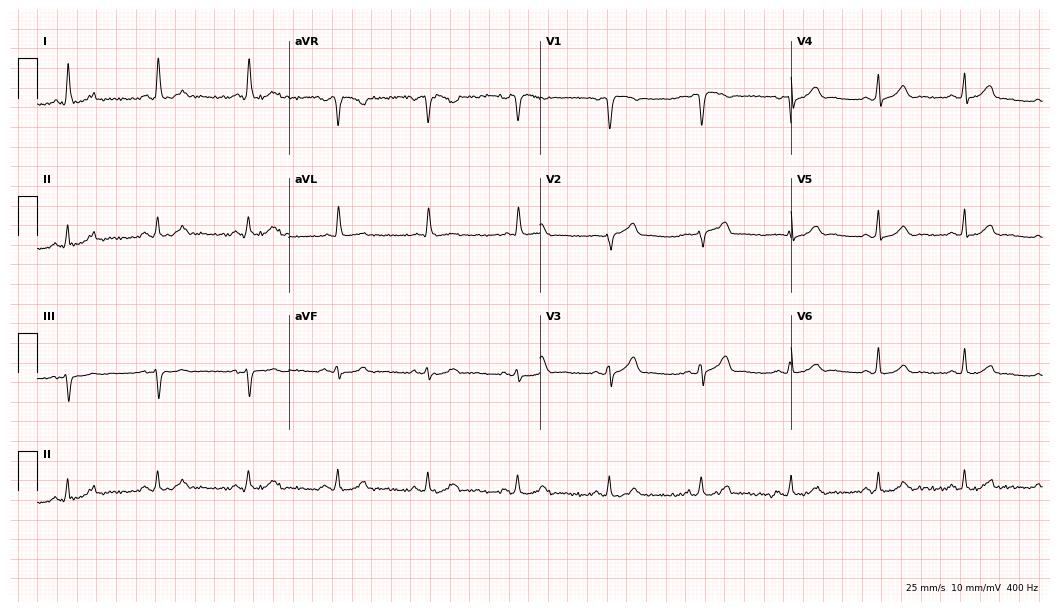
Electrocardiogram, a male, 73 years old. Of the six screened findings (first-degree AV block, right bundle branch block, left bundle branch block, sinus bradycardia, atrial fibrillation, sinus tachycardia), none is recorded. Other findings, if any, are not listed.